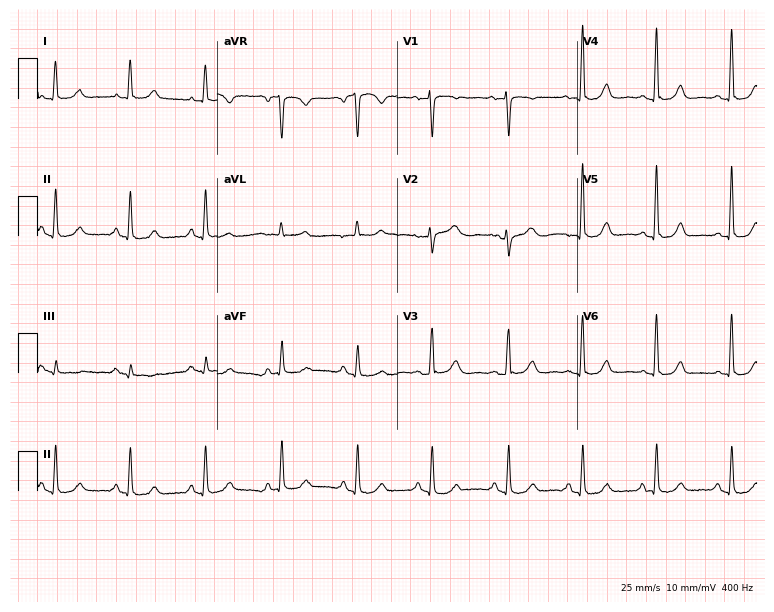
Resting 12-lead electrocardiogram (7.3-second recording at 400 Hz). Patient: a woman, 75 years old. None of these six findings is recorded: first-degree AV block, right bundle branch block, left bundle branch block, sinus bradycardia, atrial fibrillation, sinus tachycardia. Only these six findings were labelled.